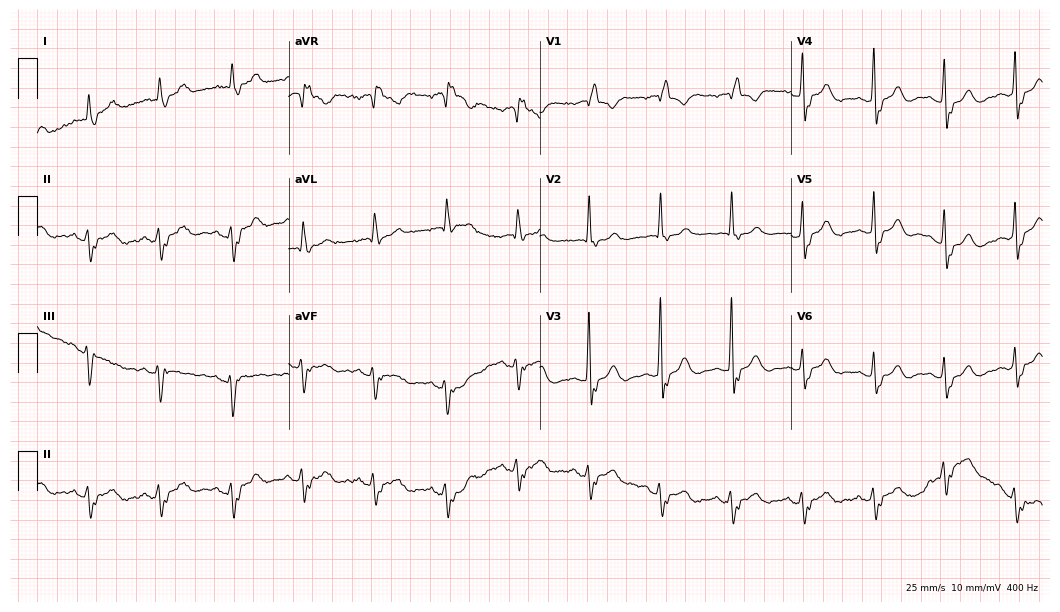
ECG — an 85-year-old female patient. Findings include right bundle branch block (RBBB).